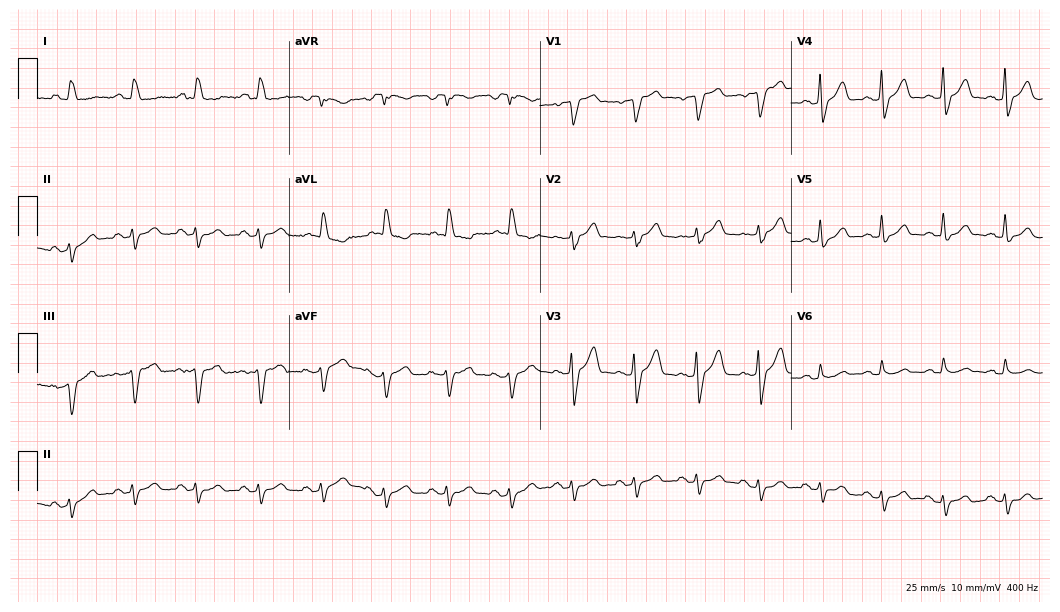
Electrocardiogram (10.2-second recording at 400 Hz), a male patient, 47 years old. Of the six screened findings (first-degree AV block, right bundle branch block (RBBB), left bundle branch block (LBBB), sinus bradycardia, atrial fibrillation (AF), sinus tachycardia), none is recorded. Findings outside these six are not listed.